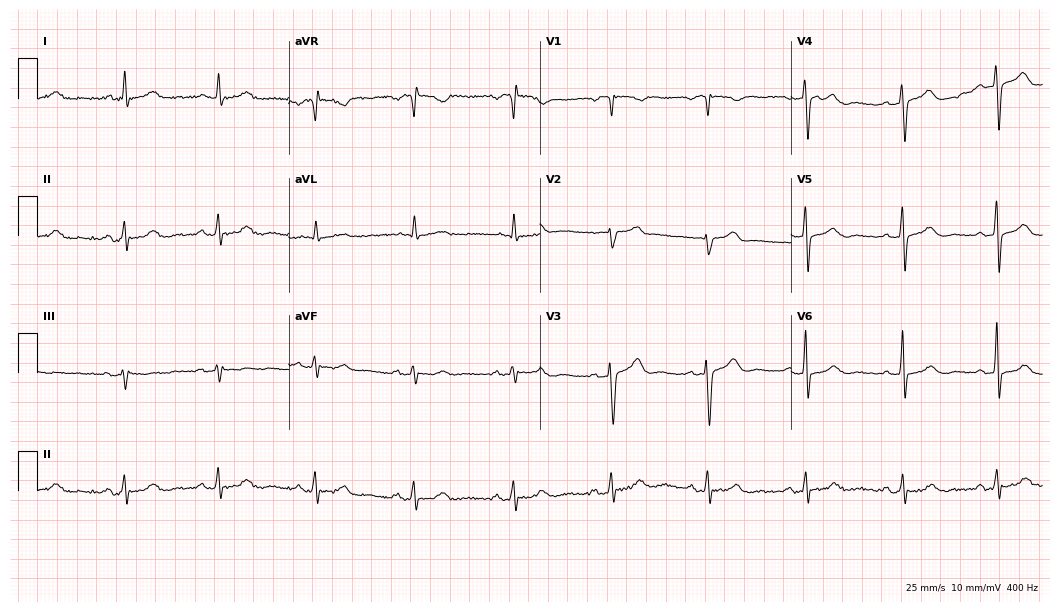
ECG — a 62-year-old man. Screened for six findings — first-degree AV block, right bundle branch block, left bundle branch block, sinus bradycardia, atrial fibrillation, sinus tachycardia — none is recorded. Other findings, if any, are not listed.